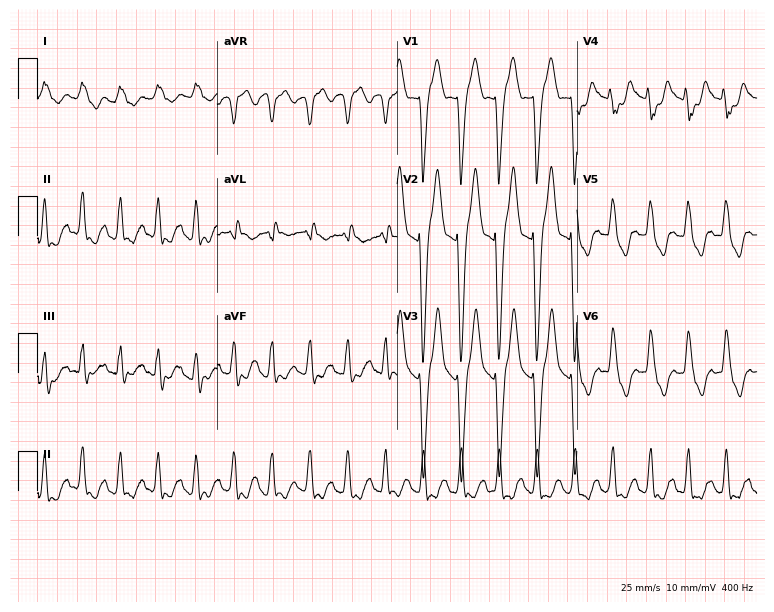
Standard 12-lead ECG recorded from a 75-year-old female patient. The tracing shows left bundle branch block, sinus tachycardia (a sinus rate of 100 beats per minute or more).